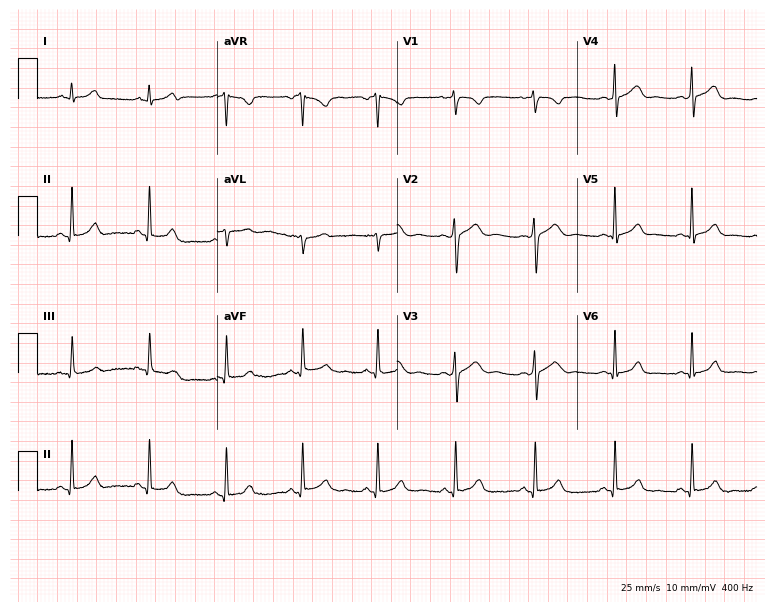
ECG (7.3-second recording at 400 Hz) — a 38-year-old female patient. Labelled as a normal ECG.